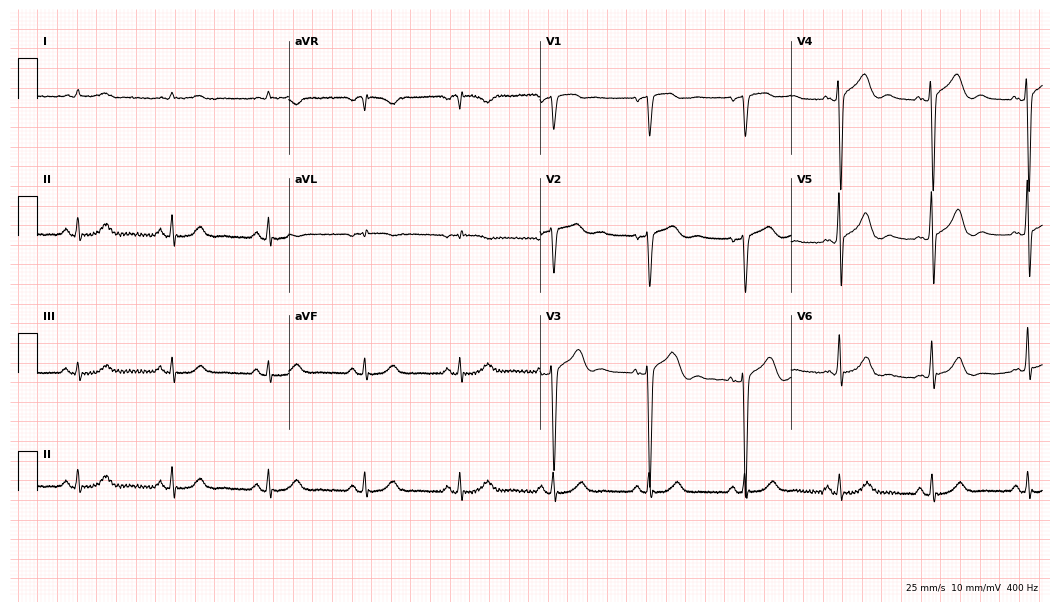
12-lead ECG from a male patient, 79 years old (10.2-second recording at 400 Hz). Recorded interpretation: within normal limits.